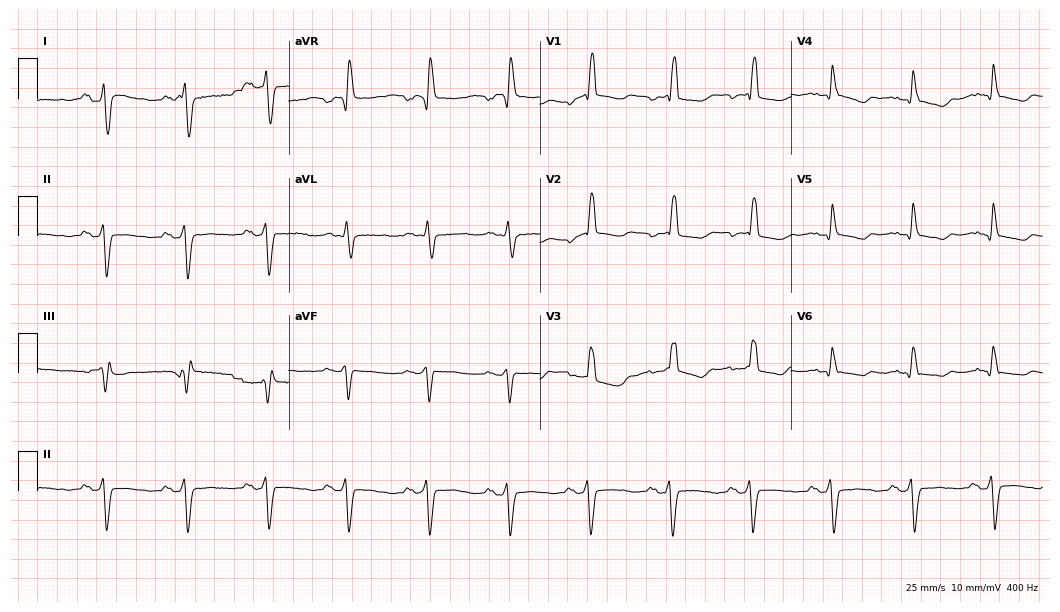
12-lead ECG from a female, 72 years old. Findings include right bundle branch block (RBBB).